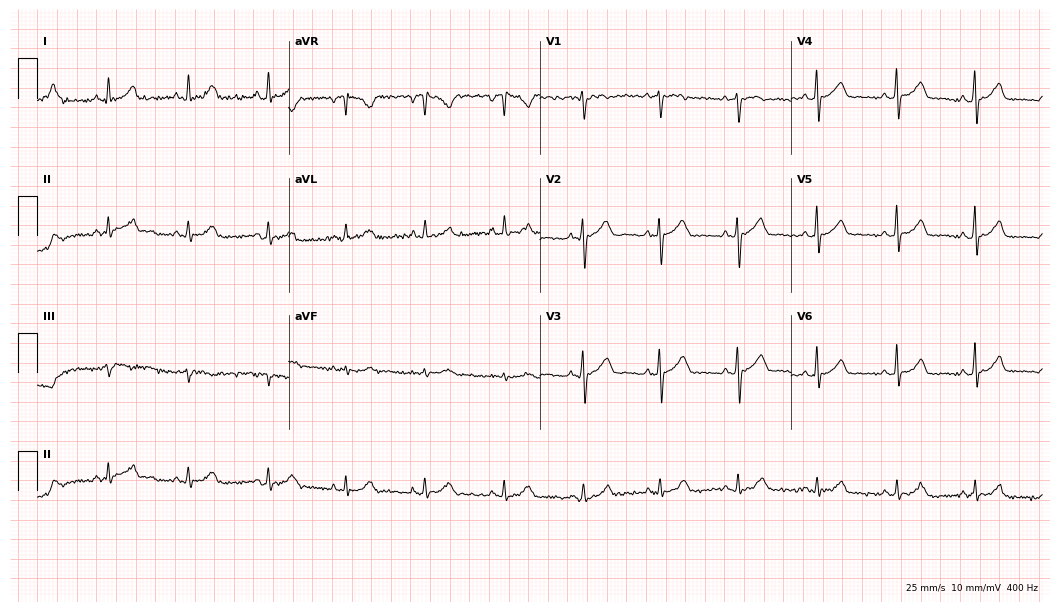
ECG — a woman, 33 years old. Labelled as a normal ECG.